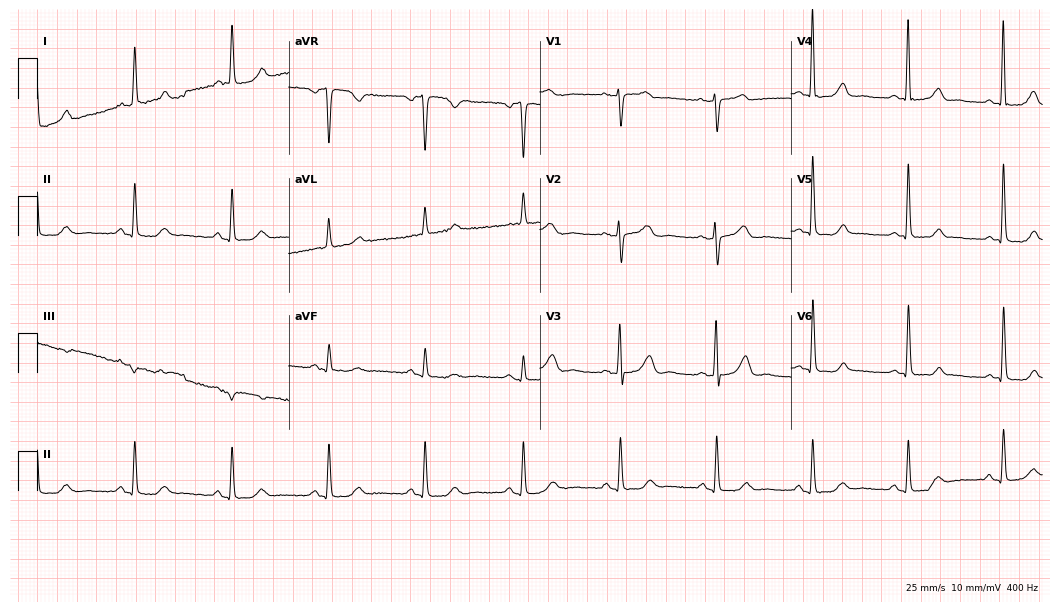
12-lead ECG from a 56-year-old woman. Screened for six findings — first-degree AV block, right bundle branch block, left bundle branch block, sinus bradycardia, atrial fibrillation, sinus tachycardia — none is recorded. Findings outside these six are not listed.